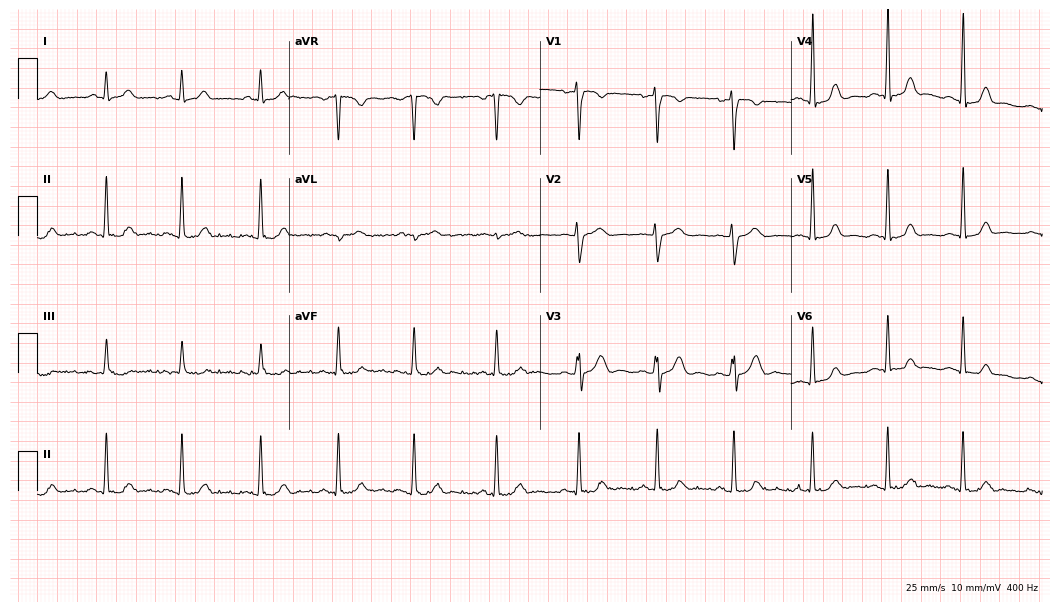
12-lead ECG from a woman, 35 years old. Screened for six findings — first-degree AV block, right bundle branch block, left bundle branch block, sinus bradycardia, atrial fibrillation, sinus tachycardia — none is recorded.